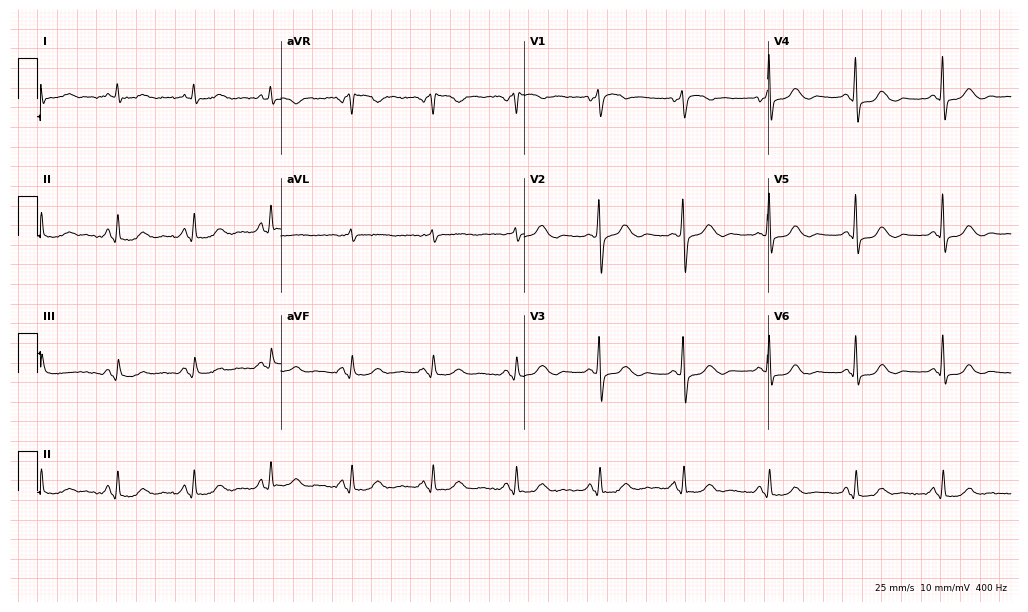
Electrocardiogram (9.9-second recording at 400 Hz), a 77-year-old woman. Overall reading on record: normal ECG.